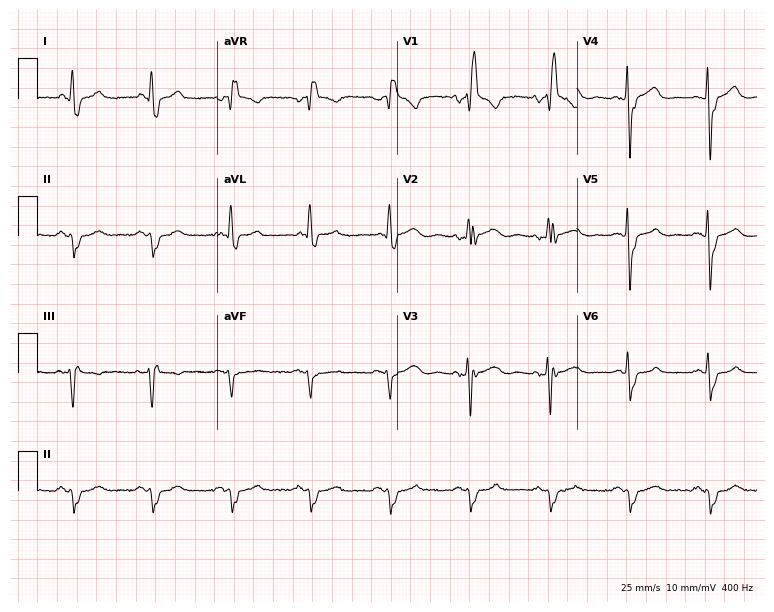
12-lead ECG (7.3-second recording at 400 Hz) from a male patient, 68 years old. Findings include right bundle branch block.